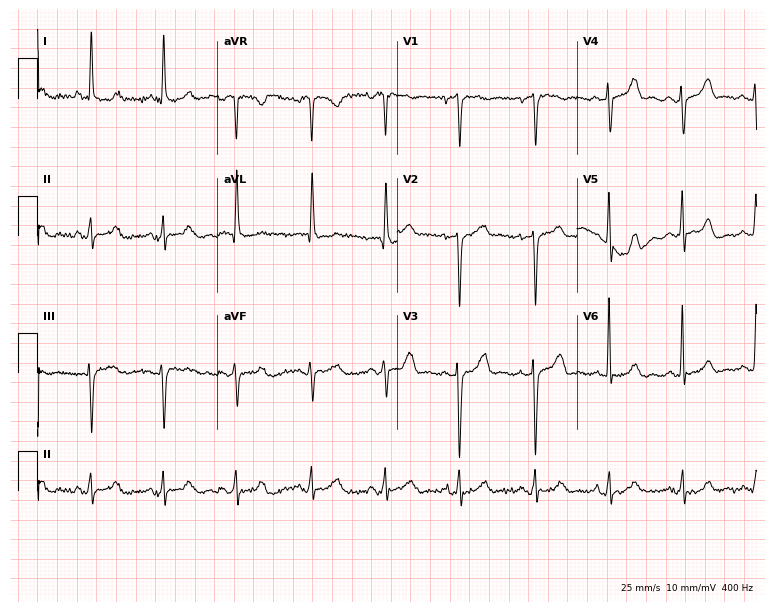
ECG (7.3-second recording at 400 Hz) — a female, 77 years old. Labelled as a normal ECG.